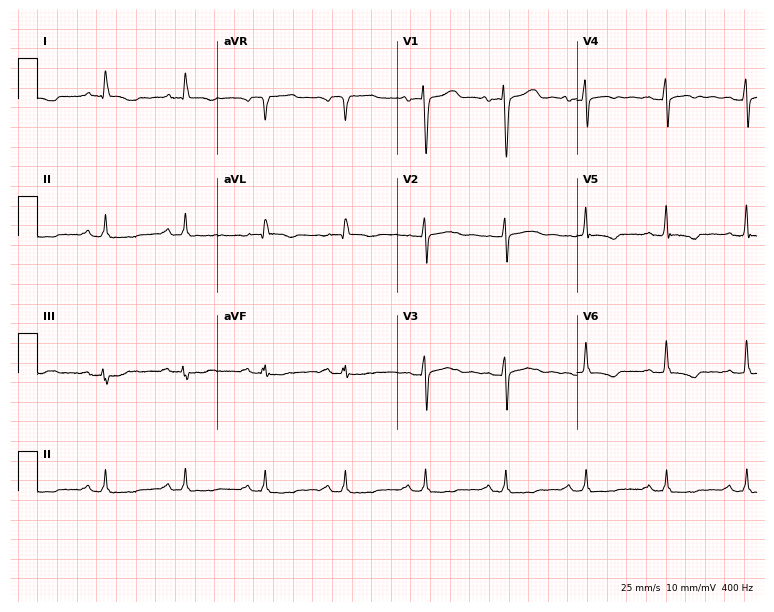
12-lead ECG (7.3-second recording at 400 Hz) from a 72-year-old man. Screened for six findings — first-degree AV block, right bundle branch block, left bundle branch block, sinus bradycardia, atrial fibrillation, sinus tachycardia — none is recorded. Findings outside these six are not listed.